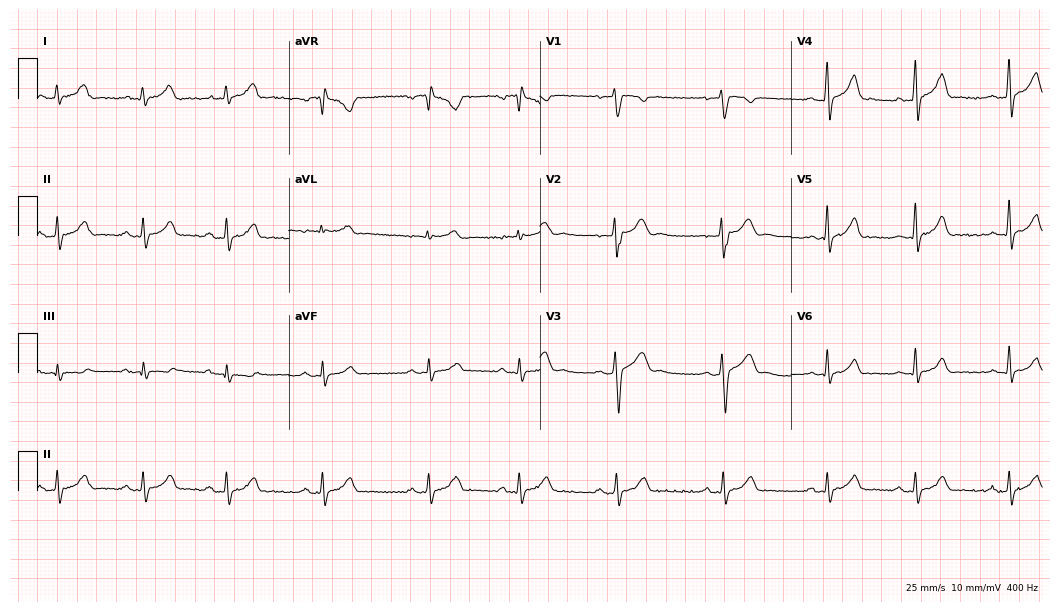
Electrocardiogram, an 18-year-old male. Overall reading on record: normal ECG.